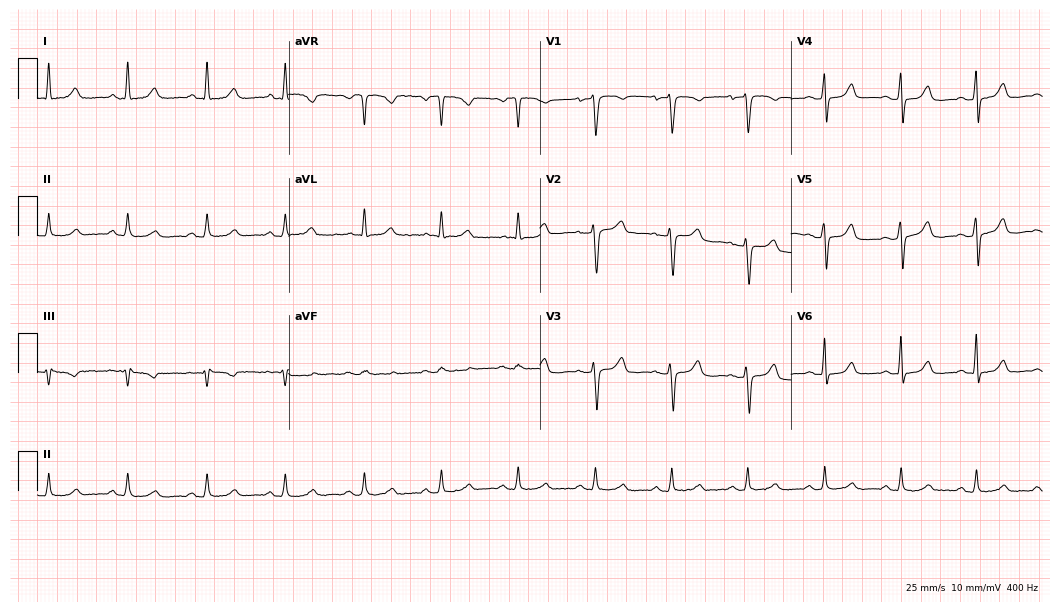
Electrocardiogram (10.2-second recording at 400 Hz), a 44-year-old woman. Overall reading on record: normal ECG.